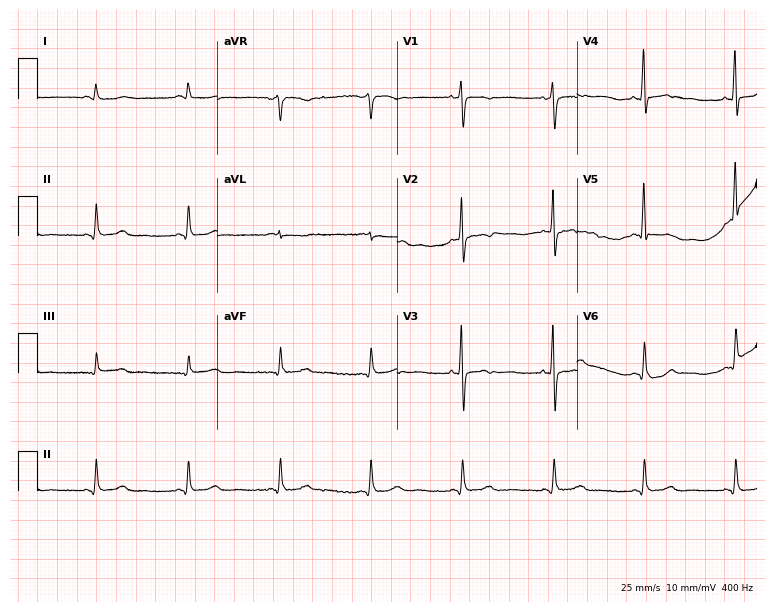
12-lead ECG from a 53-year-old female patient (7.3-second recording at 400 Hz). No first-degree AV block, right bundle branch block (RBBB), left bundle branch block (LBBB), sinus bradycardia, atrial fibrillation (AF) or sinus tachycardia recorded for this tracing. Only these six findings were labelled.